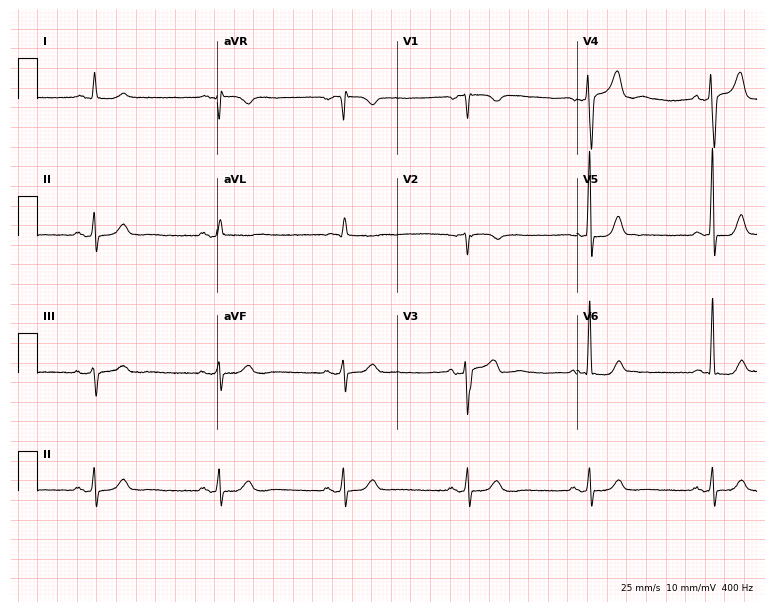
Standard 12-lead ECG recorded from a 73-year-old male. The tracing shows sinus bradycardia (a sinus rate of 50 beats per minute or less).